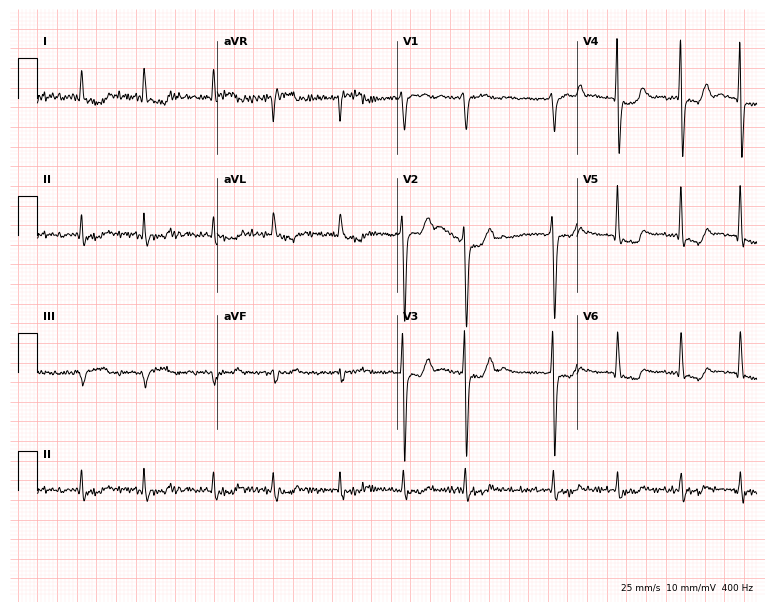
12-lead ECG from a man, 71 years old. Shows atrial fibrillation (AF).